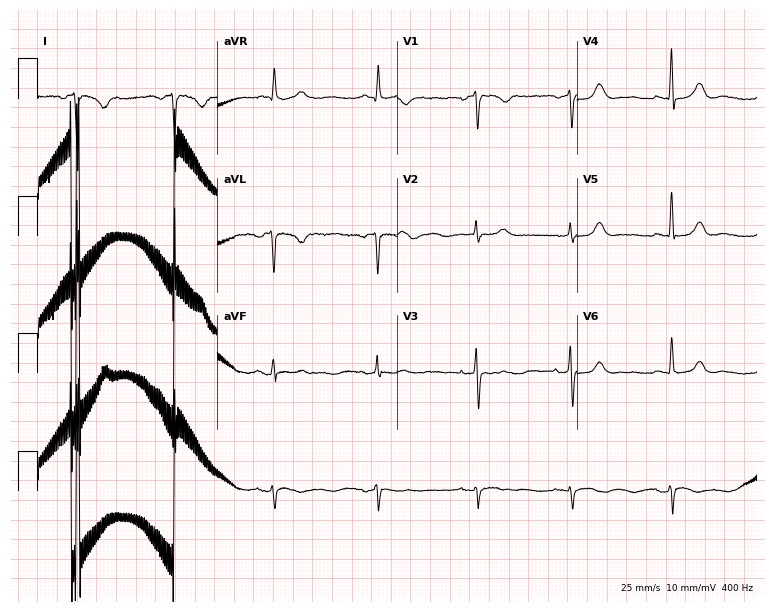
Resting 12-lead electrocardiogram. Patient: a female, 48 years old. None of these six findings is recorded: first-degree AV block, right bundle branch block, left bundle branch block, sinus bradycardia, atrial fibrillation, sinus tachycardia. Findings outside these six are not listed.